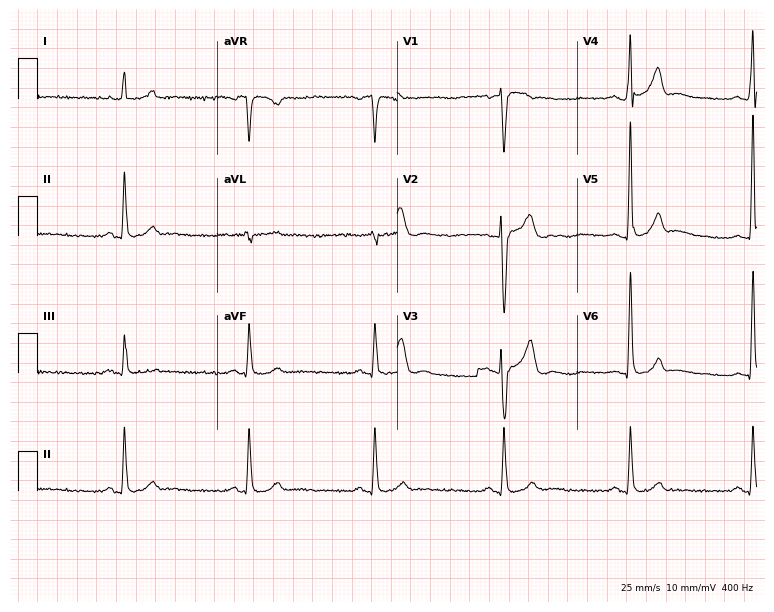
ECG — a male, 53 years old. Findings include sinus bradycardia (a sinus rate of 50 beats per minute or less).